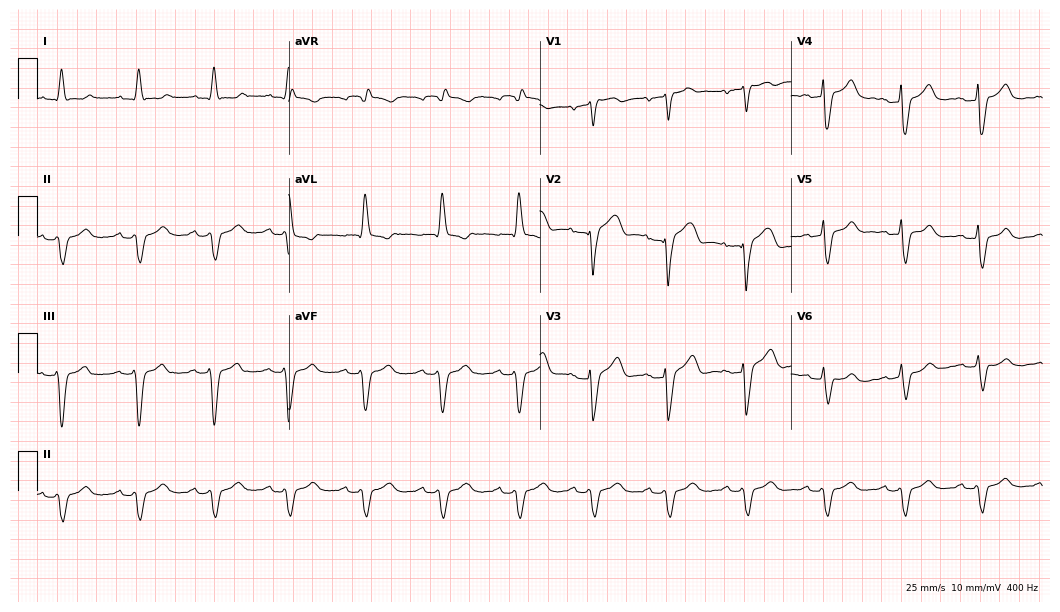
ECG — a male, 72 years old. Findings include left bundle branch block (LBBB).